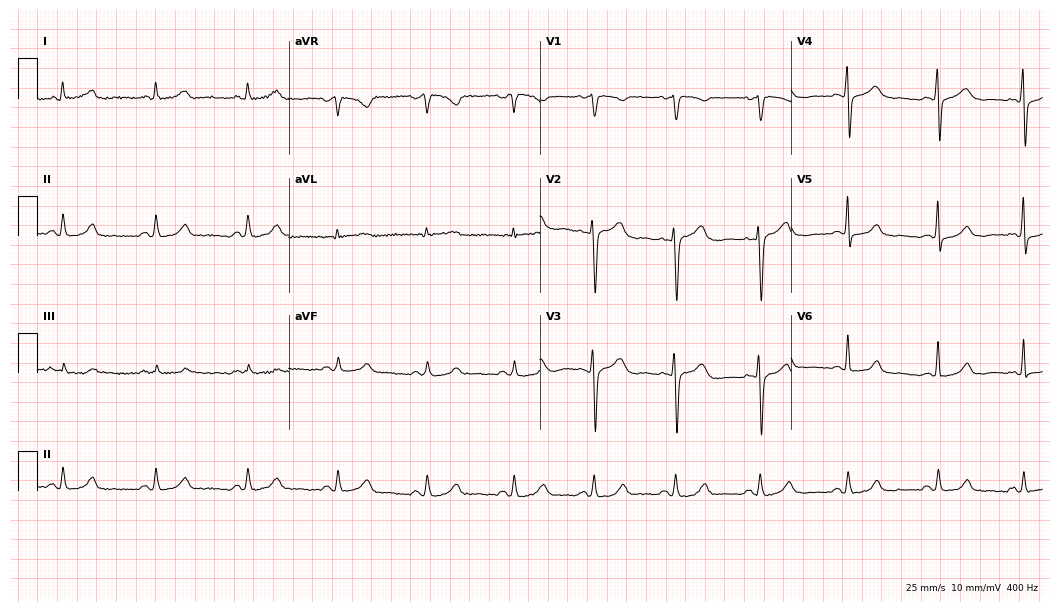
12-lead ECG from a female patient, 37 years old. Recorded interpretation: within normal limits.